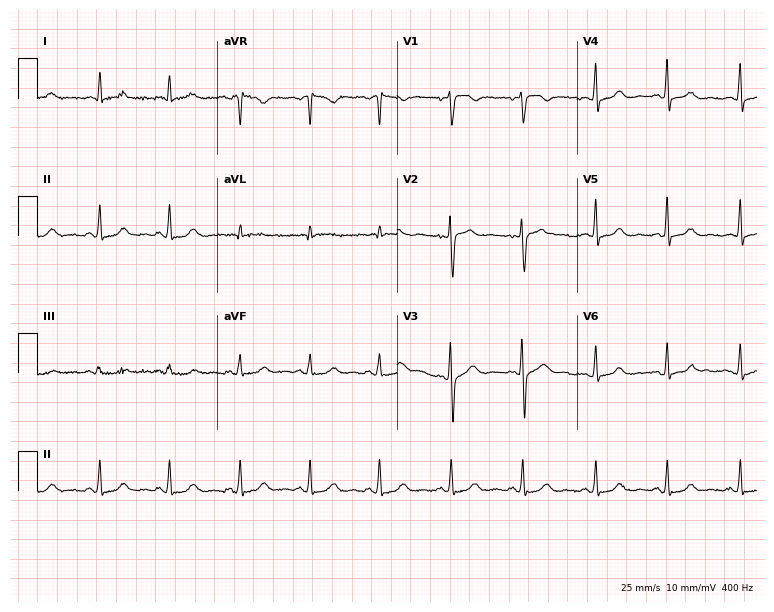
12-lead ECG from a woman, 33 years old. Recorded interpretation: within normal limits.